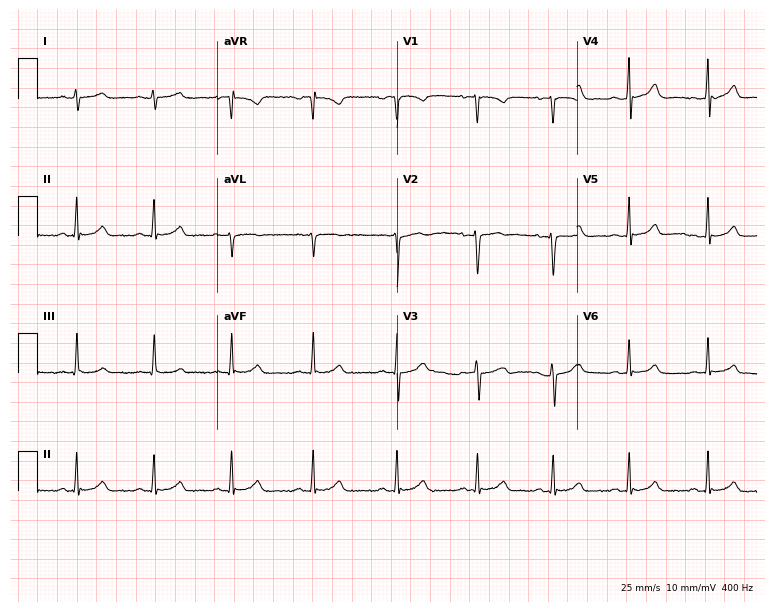
Resting 12-lead electrocardiogram. Patient: a 19-year-old woman. None of these six findings is recorded: first-degree AV block, right bundle branch block, left bundle branch block, sinus bradycardia, atrial fibrillation, sinus tachycardia.